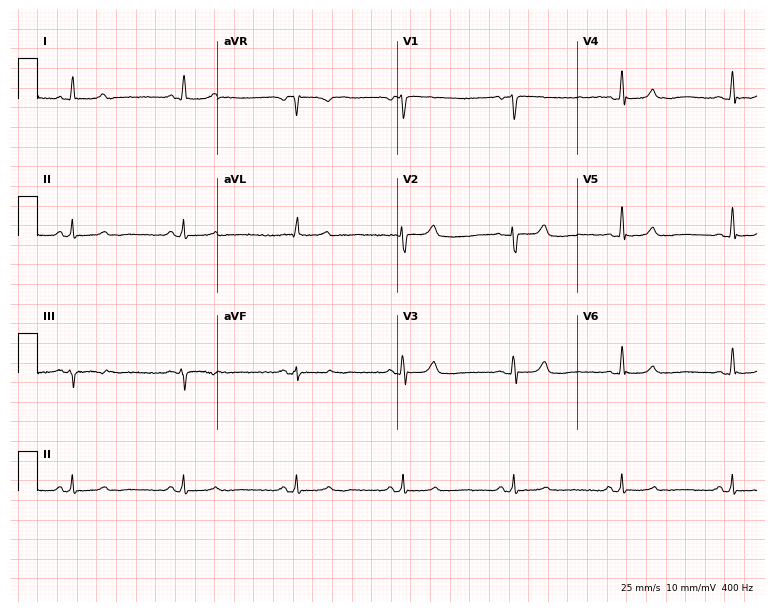
Electrocardiogram, a 65-year-old woman. Overall reading on record: normal ECG.